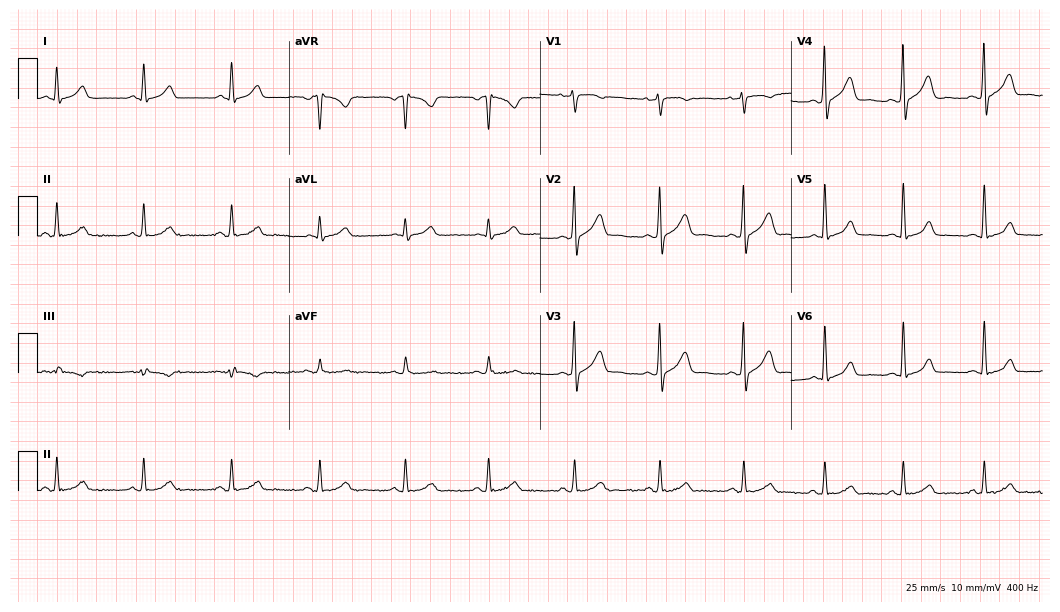
12-lead ECG from a male, 27 years old. Labelled as a normal ECG.